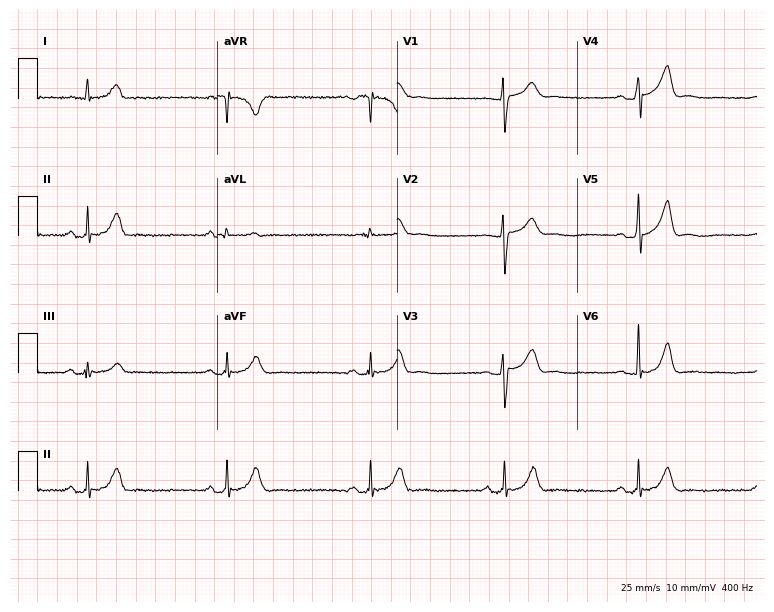
Standard 12-lead ECG recorded from a male, 39 years old (7.3-second recording at 400 Hz). The tracing shows sinus bradycardia (a sinus rate of 50 beats per minute or less).